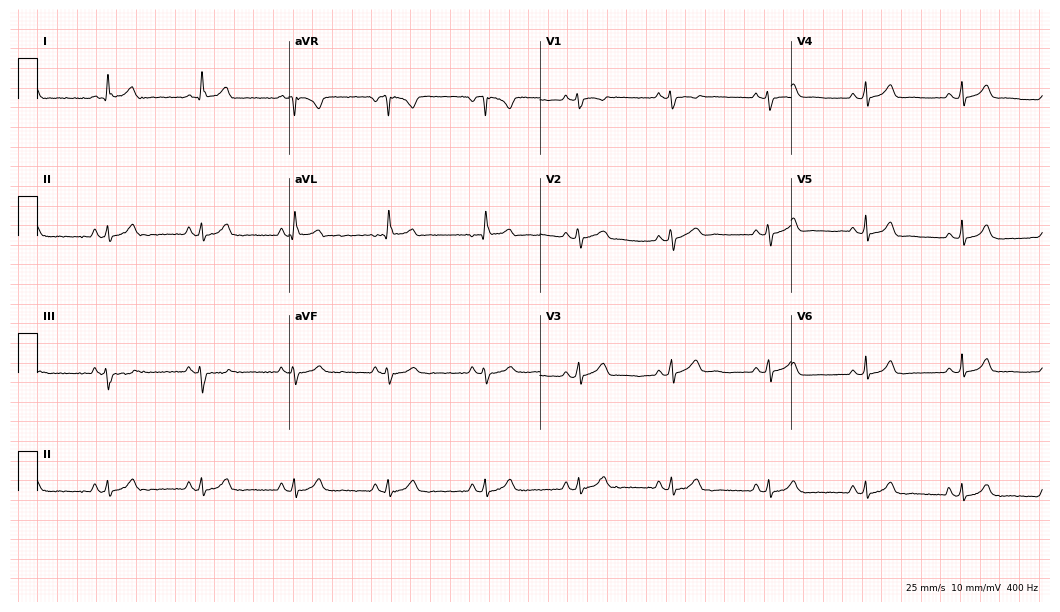
Electrocardiogram (10.2-second recording at 400 Hz), a 27-year-old woman. Overall reading on record: normal ECG.